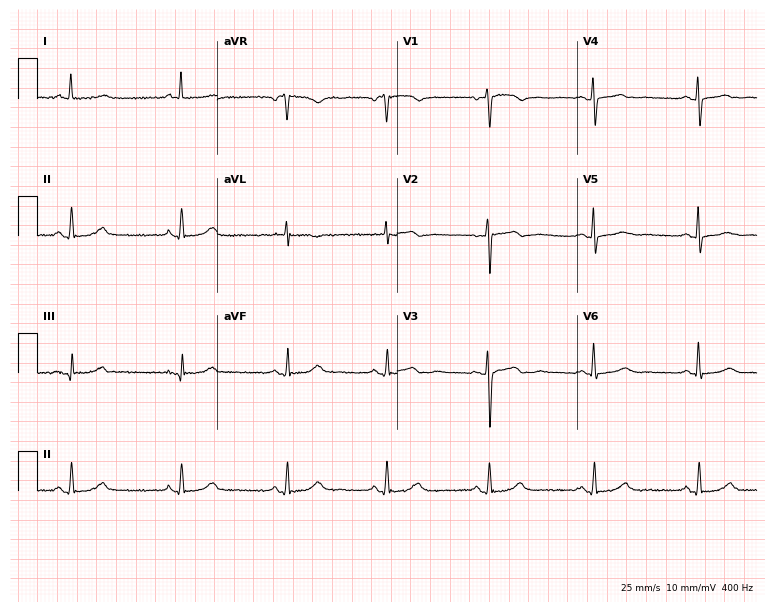
ECG (7.3-second recording at 400 Hz) — a 57-year-old female patient. Labelled as a normal ECG.